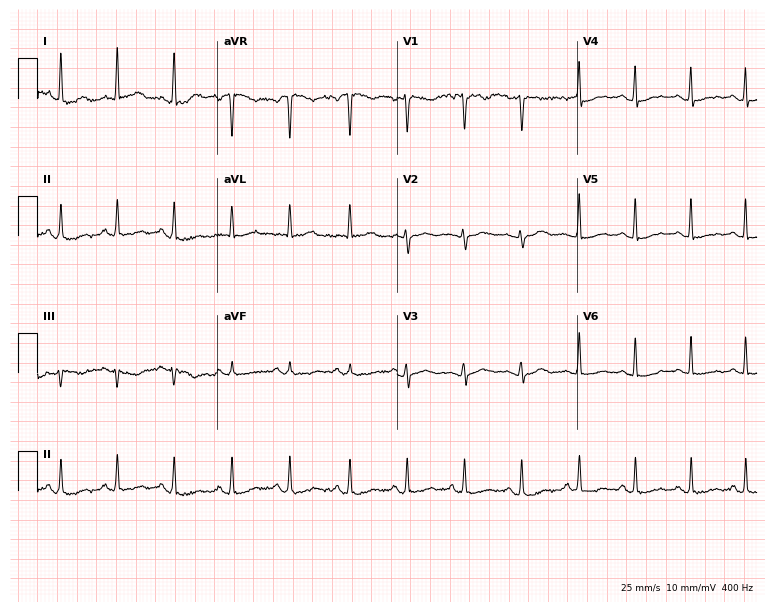
Electrocardiogram (7.3-second recording at 400 Hz), a 48-year-old female. Interpretation includes sinus tachycardia (a sinus rate of 100 beats per minute or more).